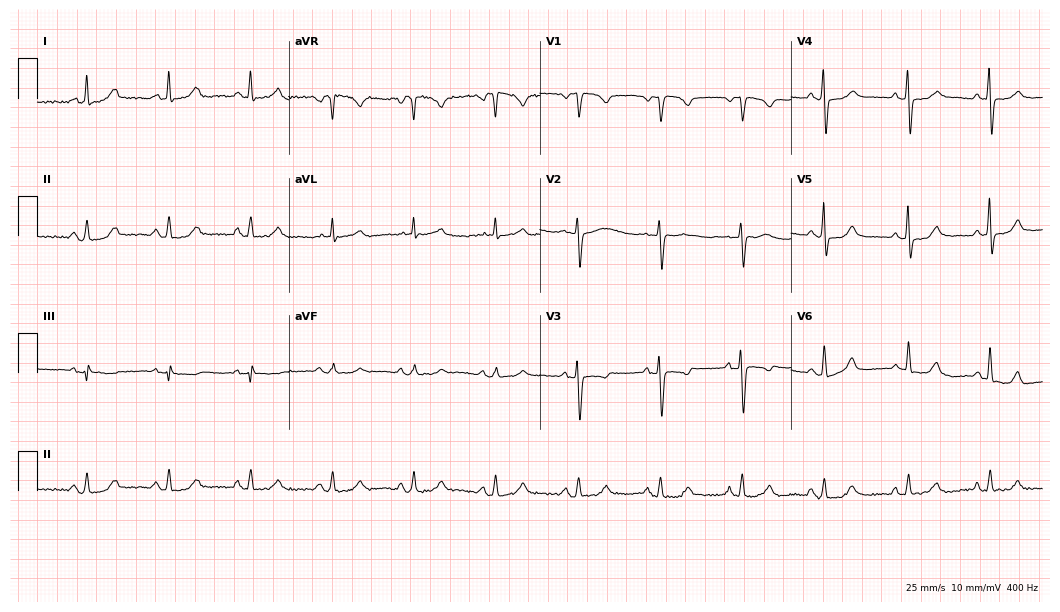
ECG (10.2-second recording at 400 Hz) — a female patient, 55 years old. Screened for six findings — first-degree AV block, right bundle branch block (RBBB), left bundle branch block (LBBB), sinus bradycardia, atrial fibrillation (AF), sinus tachycardia — none is recorded. Only these six findings were labelled.